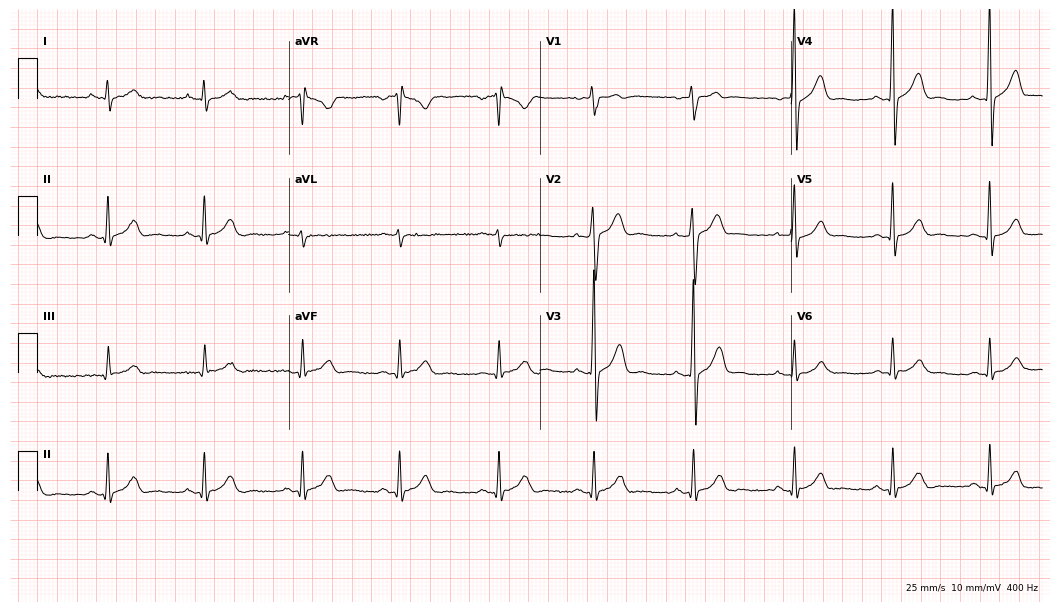
12-lead ECG from a 44-year-old male. Labelled as a normal ECG.